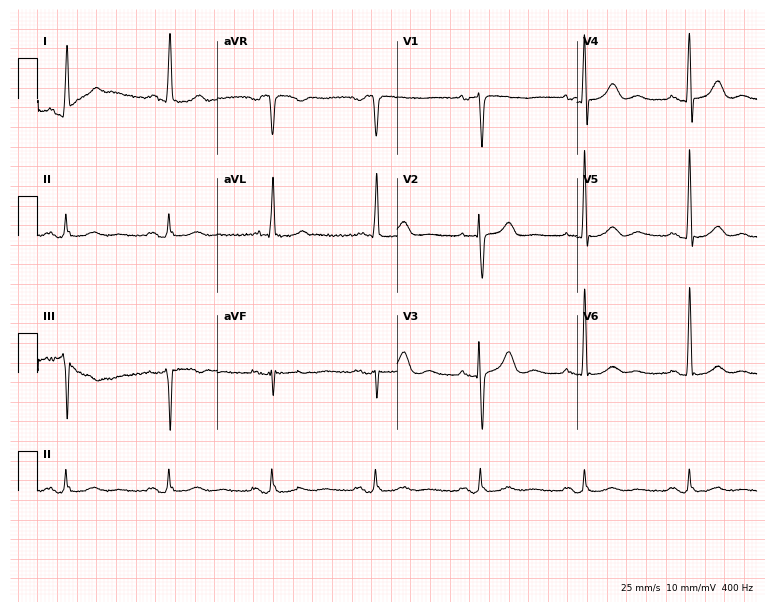
Resting 12-lead electrocardiogram. Patient: a 72-year-old woman. Read as a normal ECG.